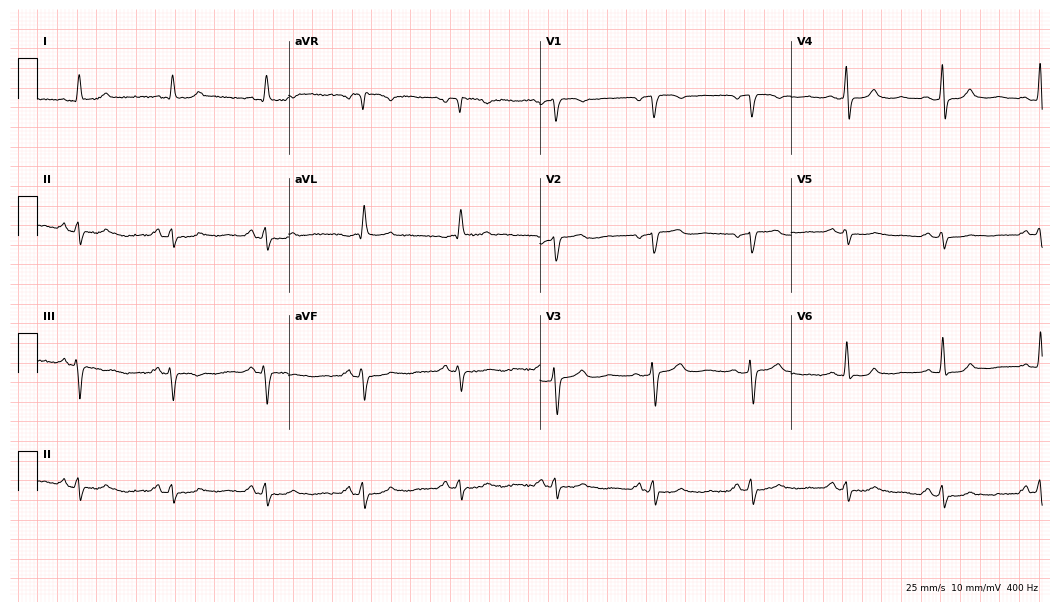
Electrocardiogram, a 76-year-old female. Overall reading on record: normal ECG.